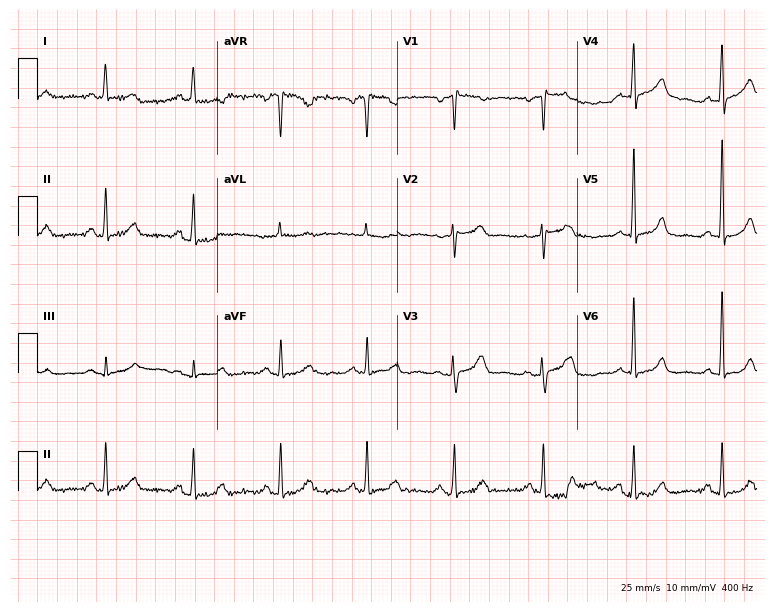
Electrocardiogram (7.3-second recording at 400 Hz), a woman, 64 years old. Overall reading on record: normal ECG.